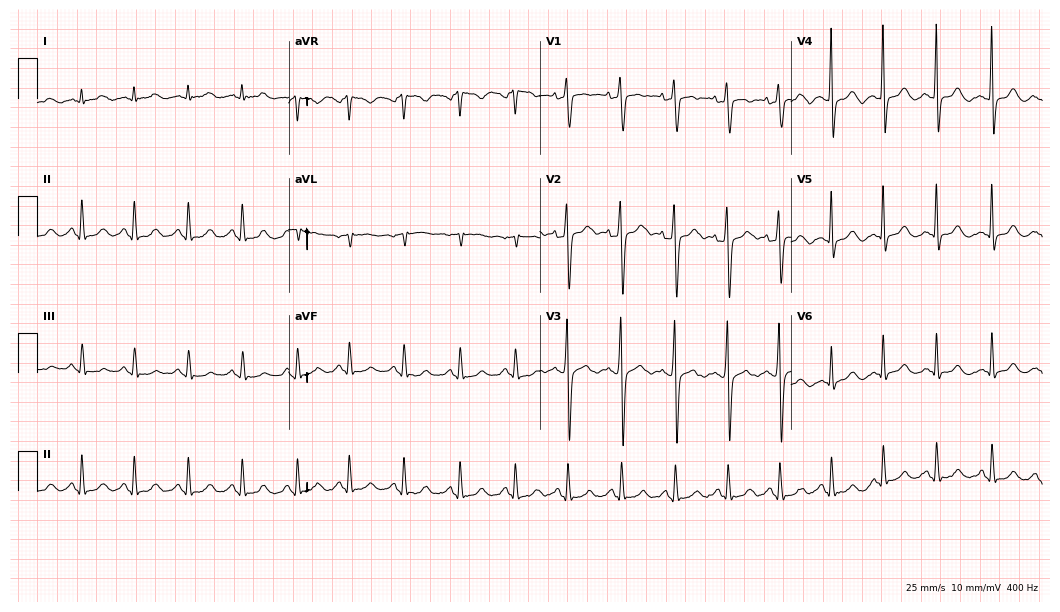
12-lead ECG from a 32-year-old female patient. Shows sinus tachycardia (a sinus rate of 100 beats per minute or more).